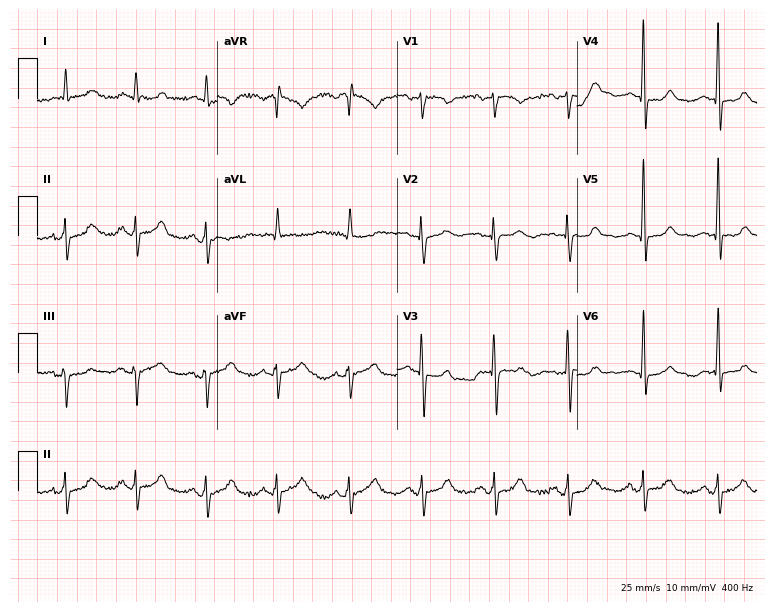
ECG — a 59-year-old woman. Screened for six findings — first-degree AV block, right bundle branch block, left bundle branch block, sinus bradycardia, atrial fibrillation, sinus tachycardia — none is recorded. Other findings, if any, are not listed.